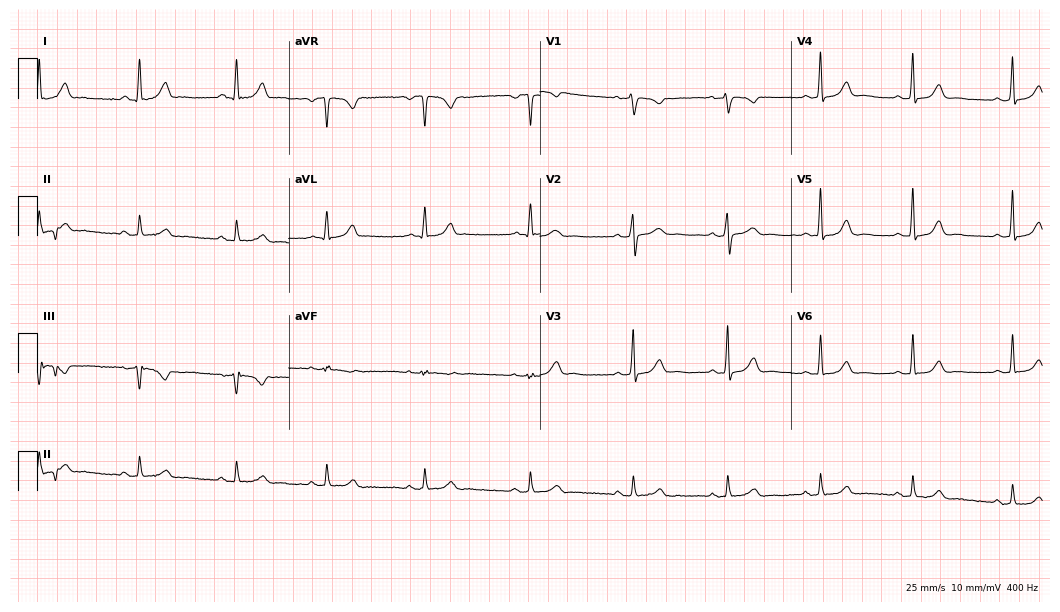
ECG (10.2-second recording at 400 Hz) — a female, 49 years old. Labelled as a normal ECG.